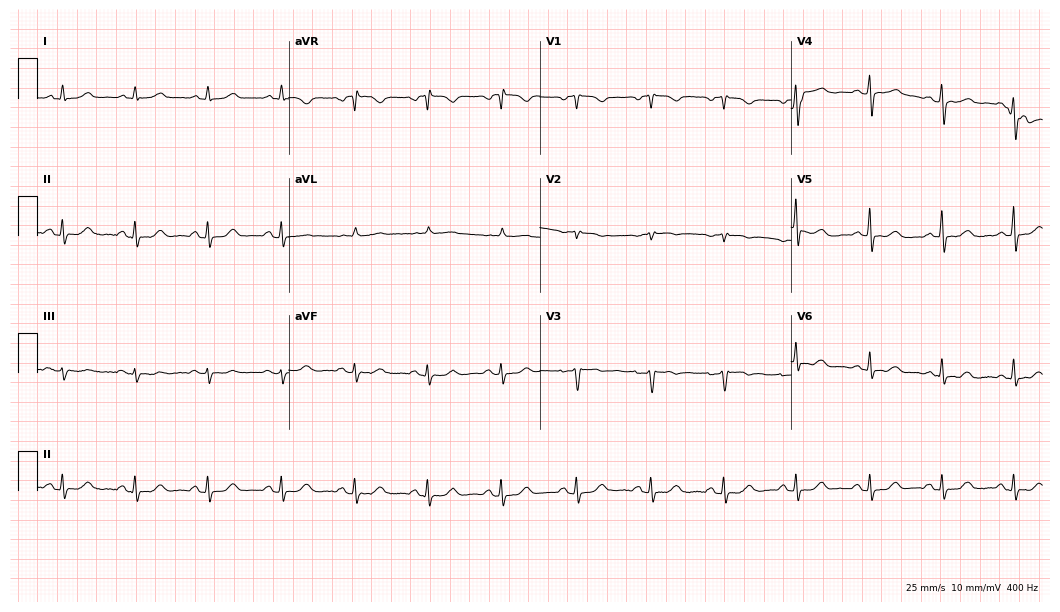
ECG (10.2-second recording at 400 Hz) — a 59-year-old female. Screened for six findings — first-degree AV block, right bundle branch block, left bundle branch block, sinus bradycardia, atrial fibrillation, sinus tachycardia — none is recorded. Only these six findings were labelled.